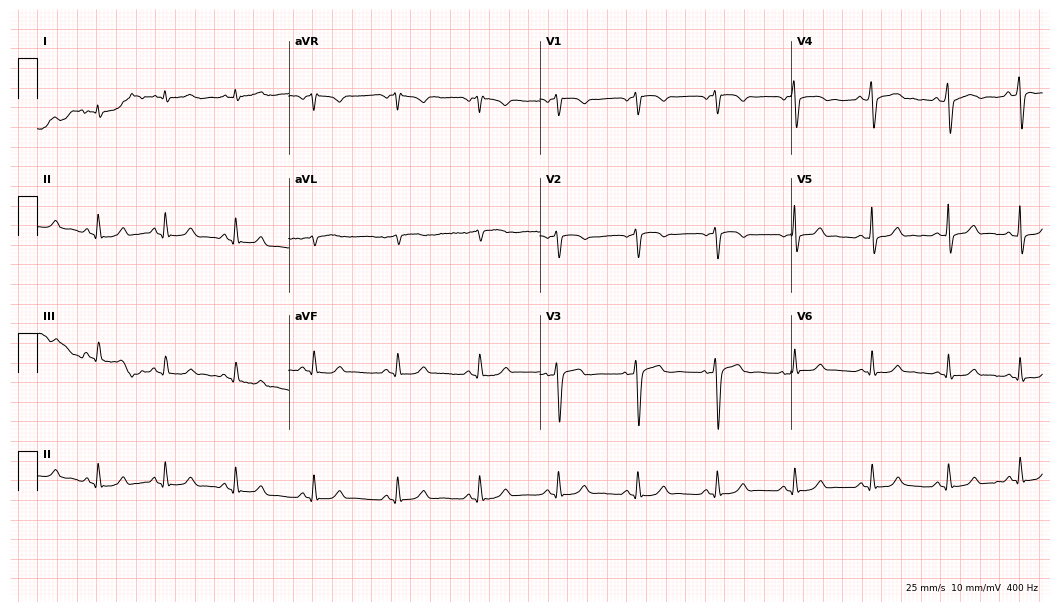
Resting 12-lead electrocardiogram (10.2-second recording at 400 Hz). Patient: a male, 30 years old. None of these six findings is recorded: first-degree AV block, right bundle branch block, left bundle branch block, sinus bradycardia, atrial fibrillation, sinus tachycardia. Findings outside these six are not listed.